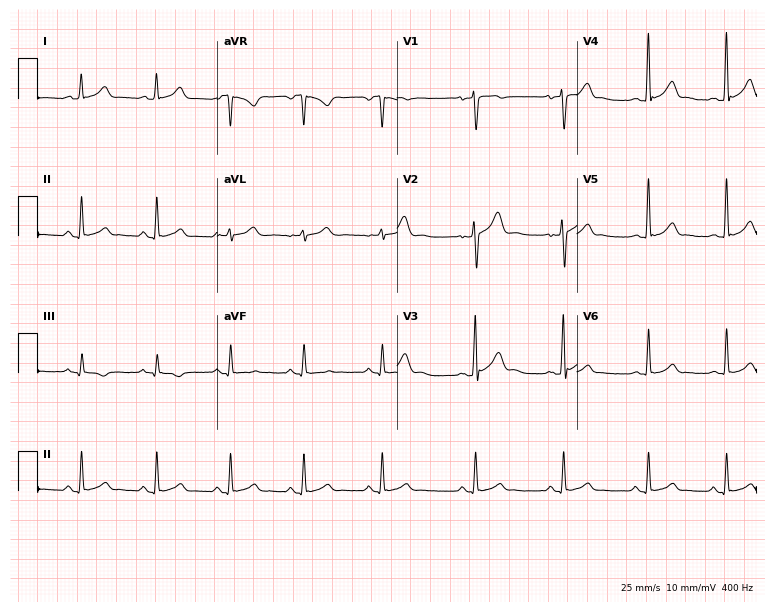
12-lead ECG (7.3-second recording at 400 Hz) from a man, 29 years old. Screened for six findings — first-degree AV block, right bundle branch block, left bundle branch block, sinus bradycardia, atrial fibrillation, sinus tachycardia — none is recorded. Only these six findings were labelled.